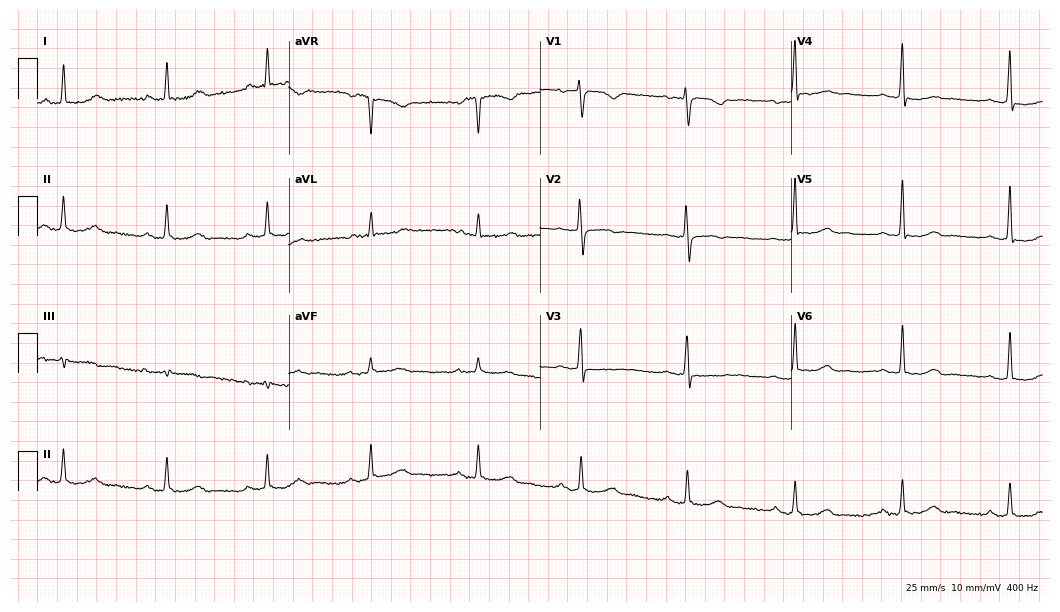
Electrocardiogram, a 54-year-old female patient. Overall reading on record: normal ECG.